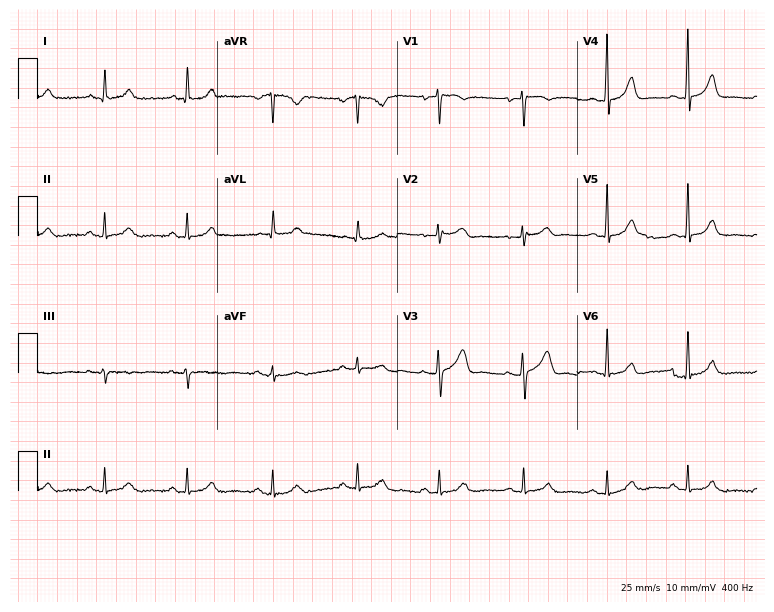
12-lead ECG from a 46-year-old female. Labelled as a normal ECG.